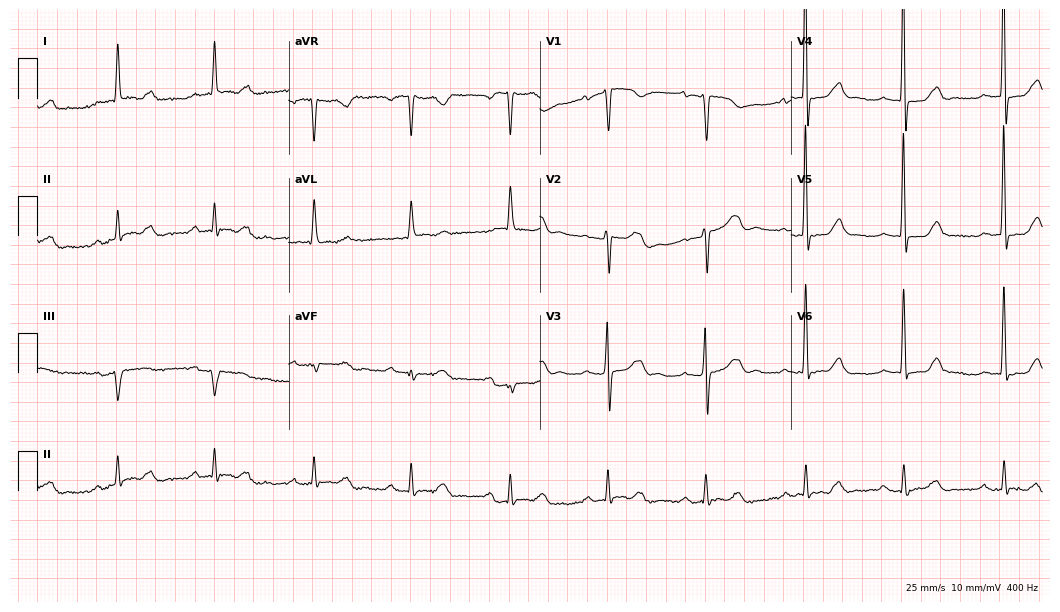
Resting 12-lead electrocardiogram. Patient: a female, 82 years old. The tracing shows first-degree AV block.